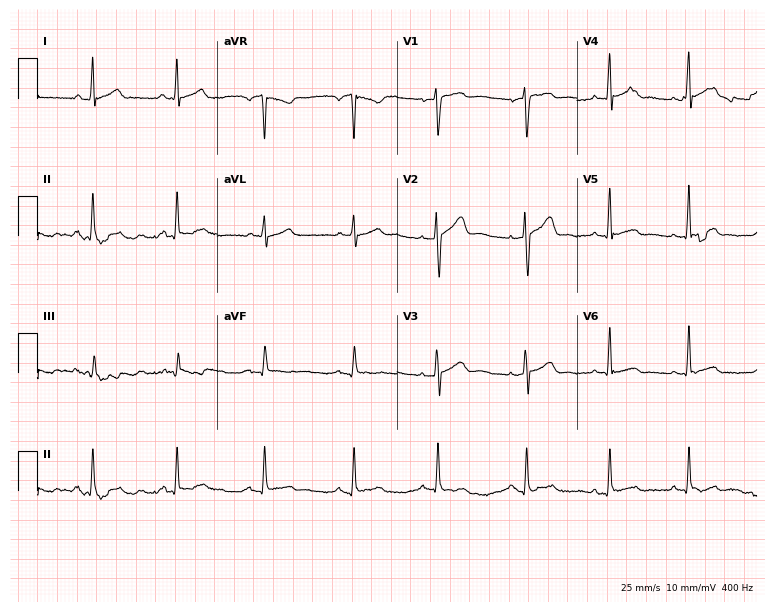
Resting 12-lead electrocardiogram. Patient: a man, 31 years old. None of these six findings is recorded: first-degree AV block, right bundle branch block (RBBB), left bundle branch block (LBBB), sinus bradycardia, atrial fibrillation (AF), sinus tachycardia. Only these six findings were labelled.